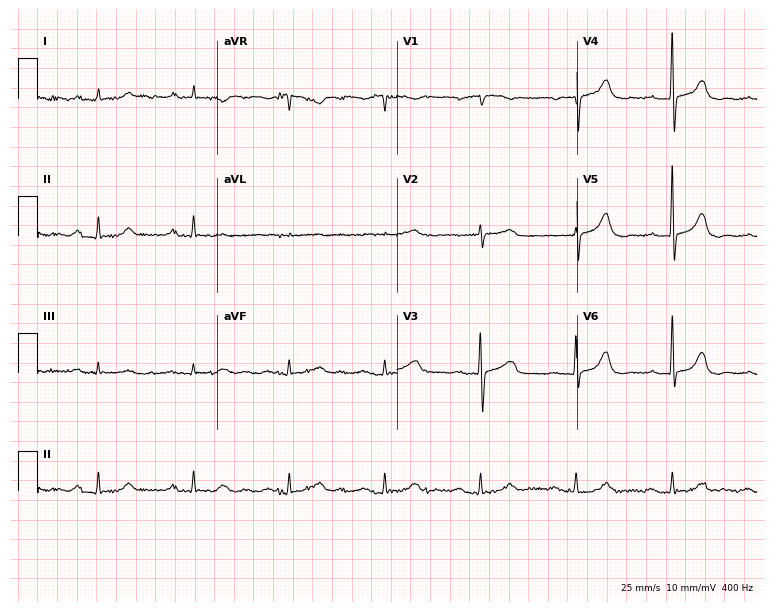
12-lead ECG from a male patient, 82 years old. Recorded interpretation: within normal limits.